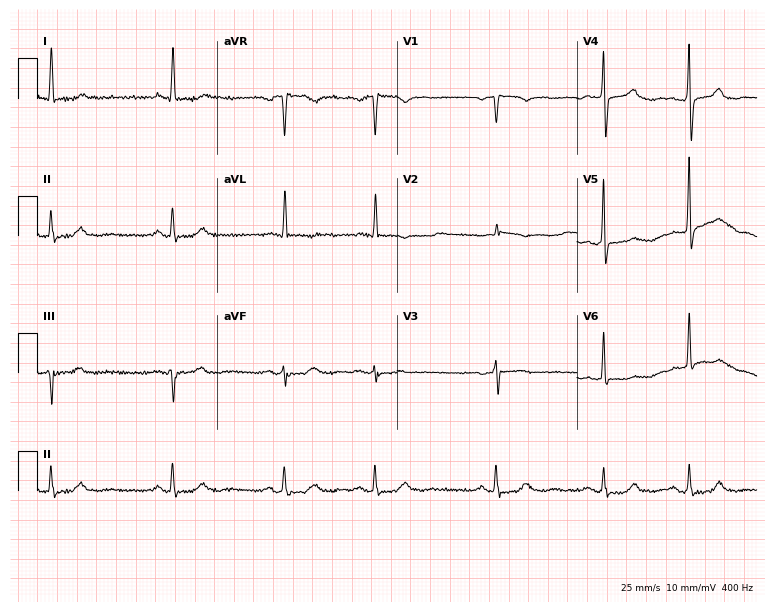
Resting 12-lead electrocardiogram. Patient: a female, 76 years old. None of these six findings is recorded: first-degree AV block, right bundle branch block, left bundle branch block, sinus bradycardia, atrial fibrillation, sinus tachycardia. Other findings, if any, are not listed.